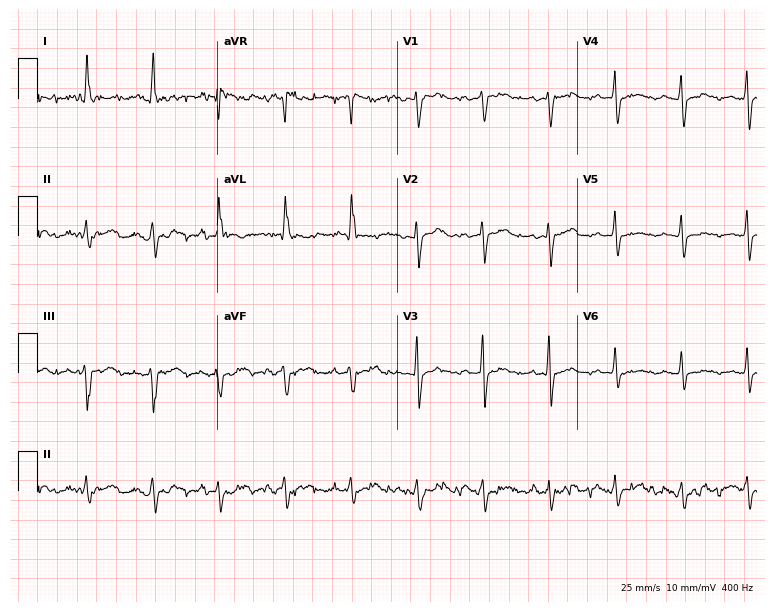
Resting 12-lead electrocardiogram. Patient: a 73-year-old woman. None of these six findings is recorded: first-degree AV block, right bundle branch block, left bundle branch block, sinus bradycardia, atrial fibrillation, sinus tachycardia.